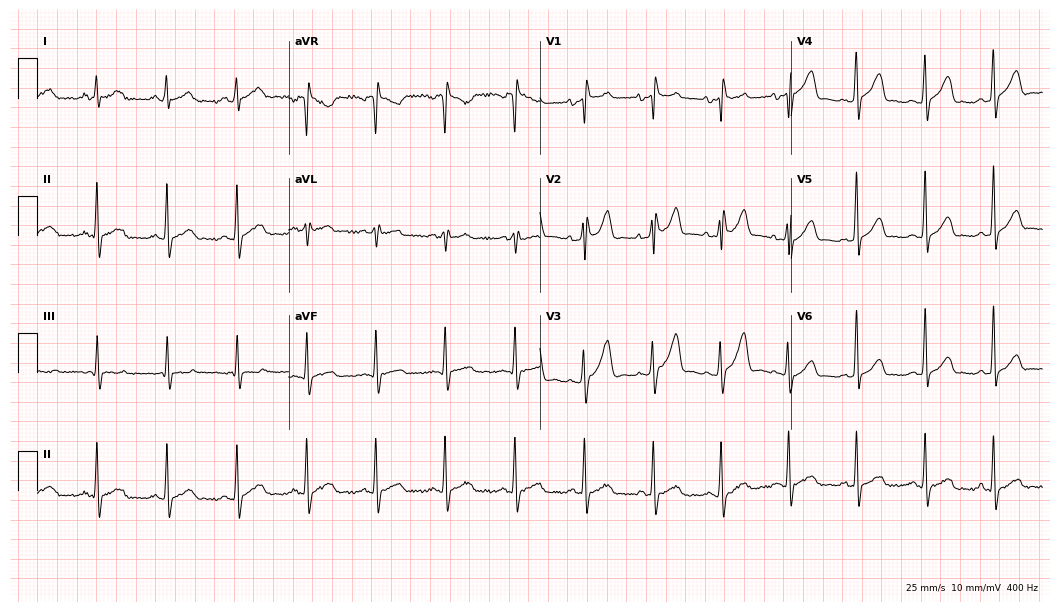
Standard 12-lead ECG recorded from a male, 27 years old. Read as a normal ECG.